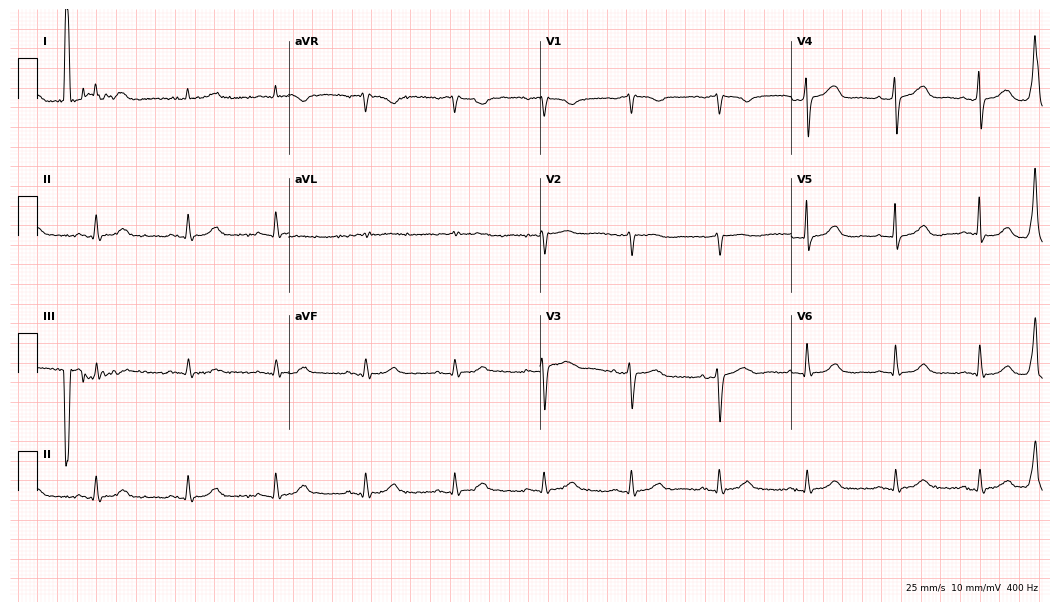
Standard 12-lead ECG recorded from a 79-year-old man. Read as a normal ECG.